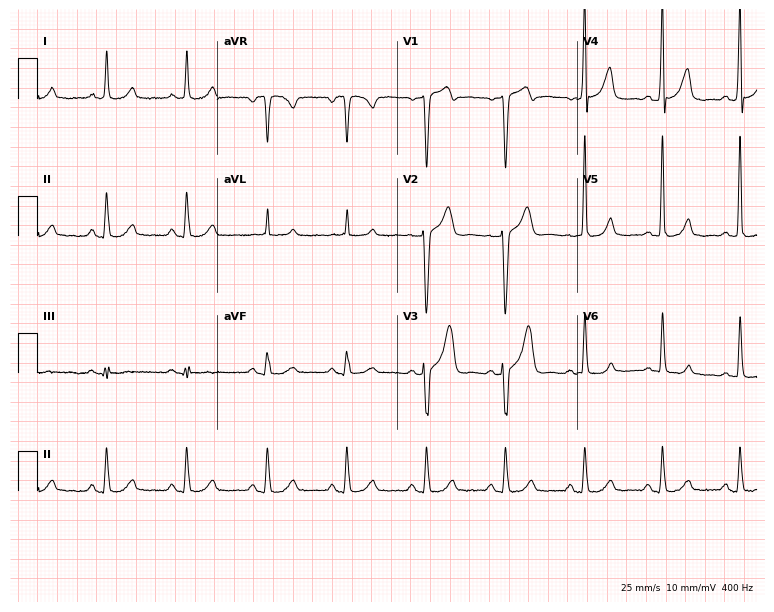
Resting 12-lead electrocardiogram. Patient: a male, 64 years old. Read as a normal ECG.